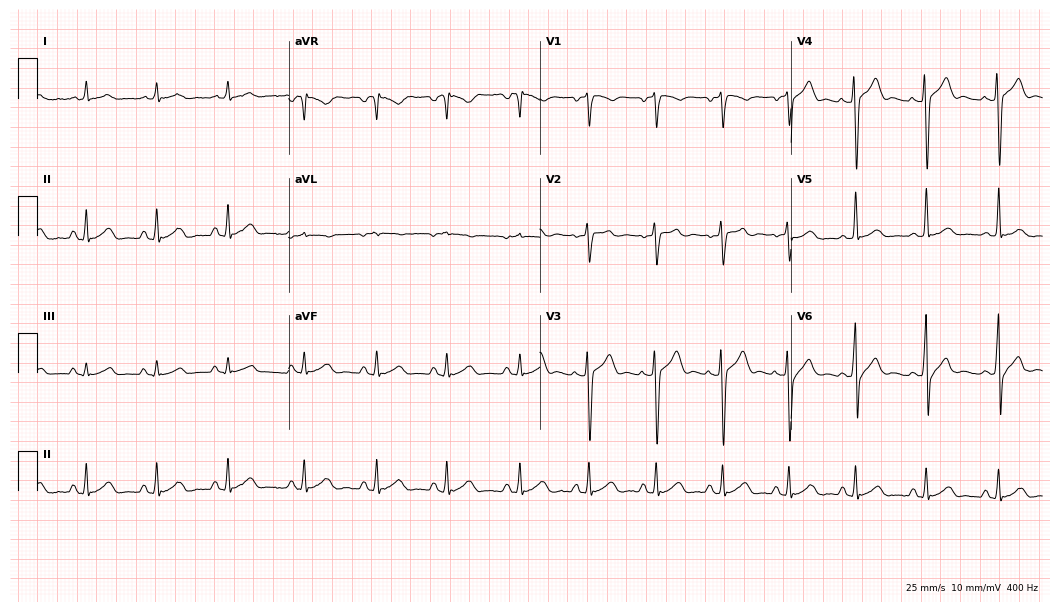
12-lead ECG from a man, 22 years old. Labelled as a normal ECG.